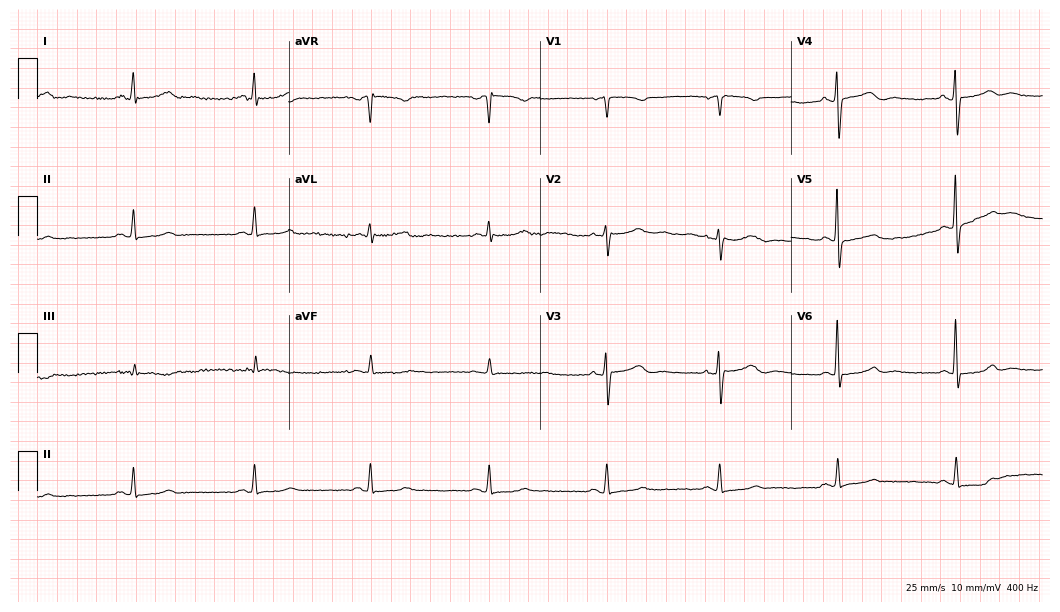
Standard 12-lead ECG recorded from a 62-year-old female patient (10.2-second recording at 400 Hz). None of these six findings is recorded: first-degree AV block, right bundle branch block, left bundle branch block, sinus bradycardia, atrial fibrillation, sinus tachycardia.